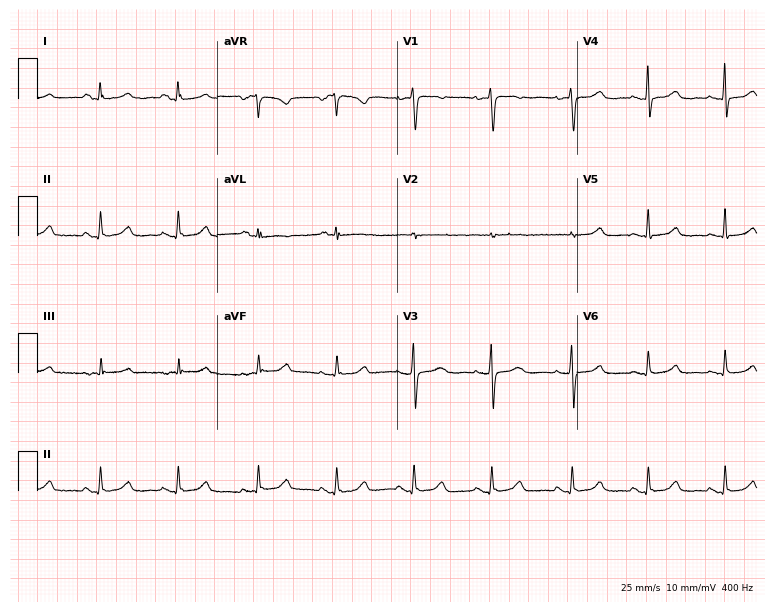
Electrocardiogram, a 42-year-old woman. Overall reading on record: normal ECG.